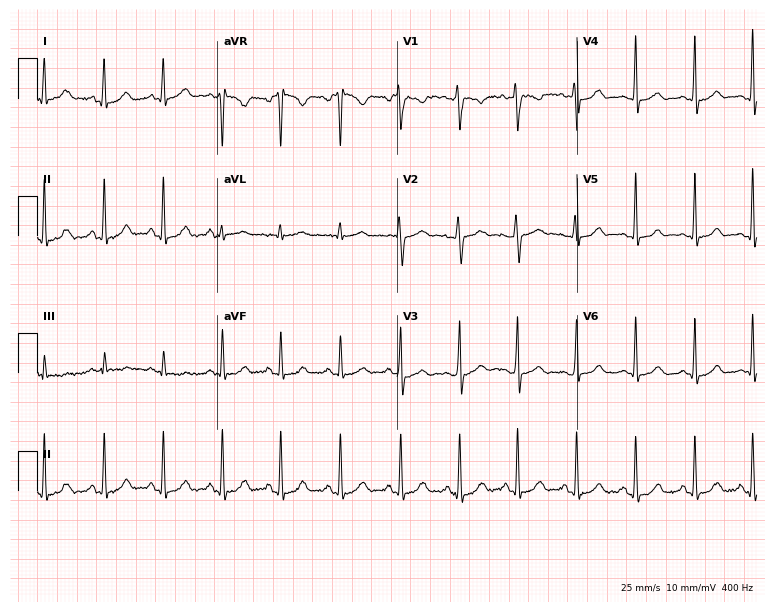
12-lead ECG from a woman, 30 years old. Labelled as a normal ECG.